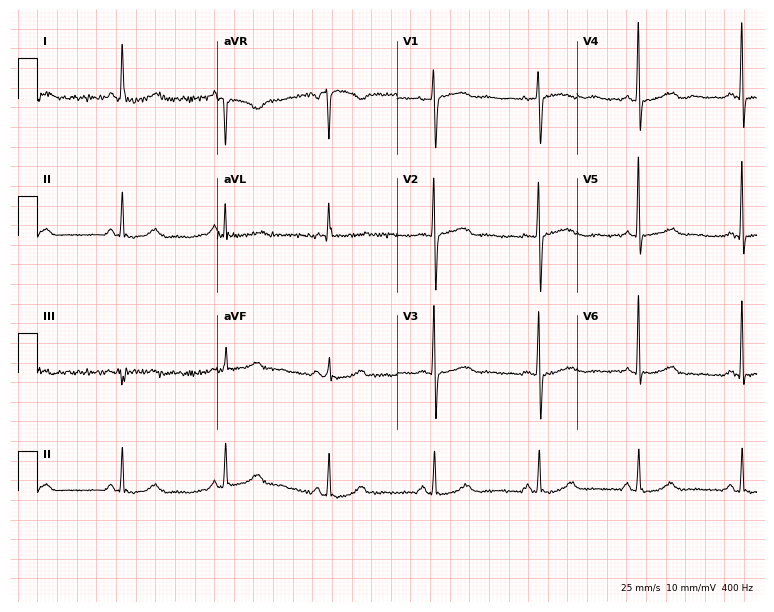
Standard 12-lead ECG recorded from a woman, 65 years old (7.3-second recording at 400 Hz). None of these six findings is recorded: first-degree AV block, right bundle branch block, left bundle branch block, sinus bradycardia, atrial fibrillation, sinus tachycardia. Only these six findings were labelled.